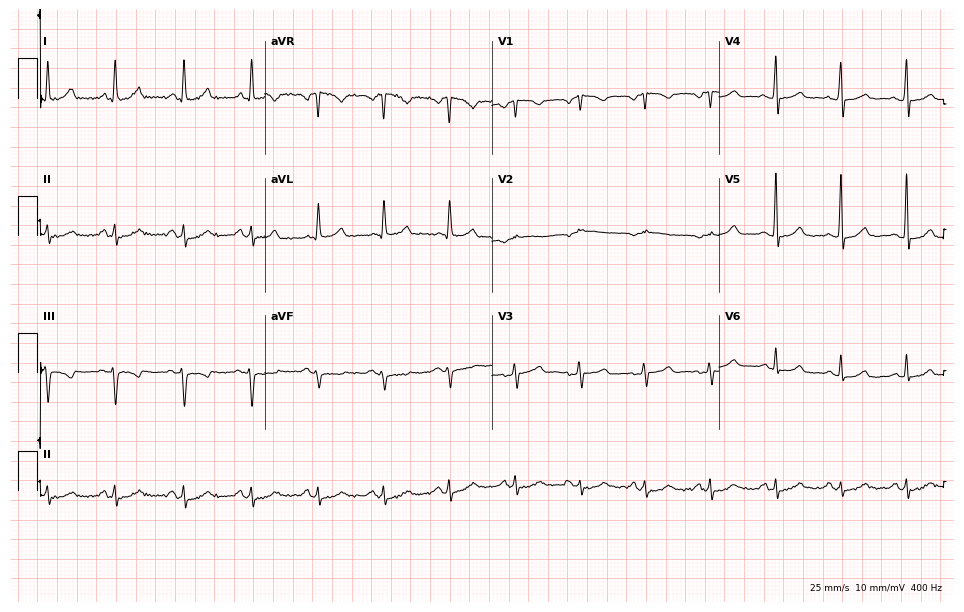
Standard 12-lead ECG recorded from a 61-year-old female patient. None of these six findings is recorded: first-degree AV block, right bundle branch block, left bundle branch block, sinus bradycardia, atrial fibrillation, sinus tachycardia. Only these six findings were labelled.